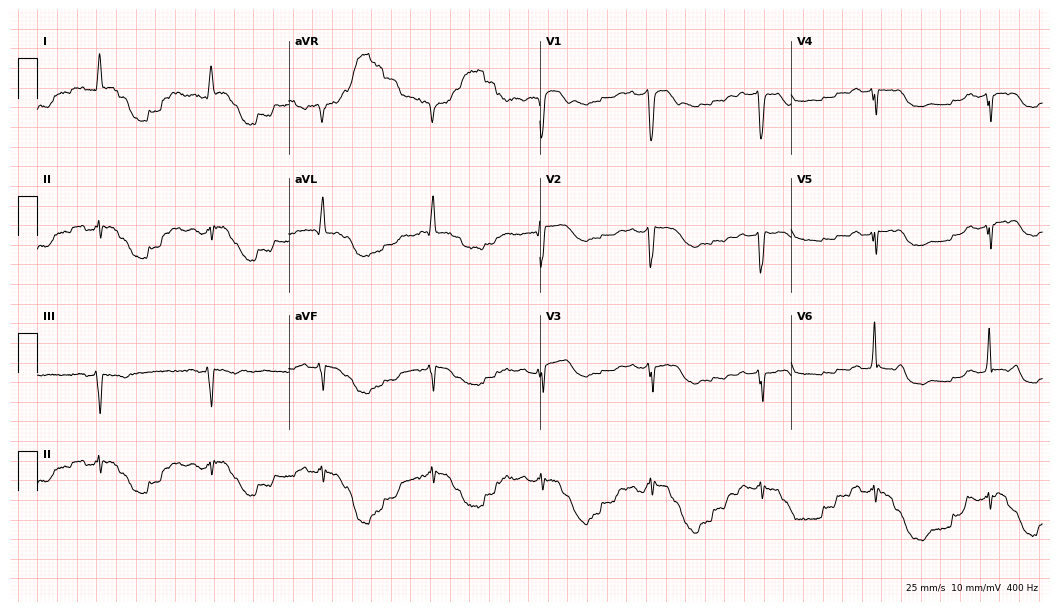
Electrocardiogram (10.2-second recording at 400 Hz), a male patient, 73 years old. Of the six screened findings (first-degree AV block, right bundle branch block, left bundle branch block, sinus bradycardia, atrial fibrillation, sinus tachycardia), none is recorded. Findings outside these six are not listed.